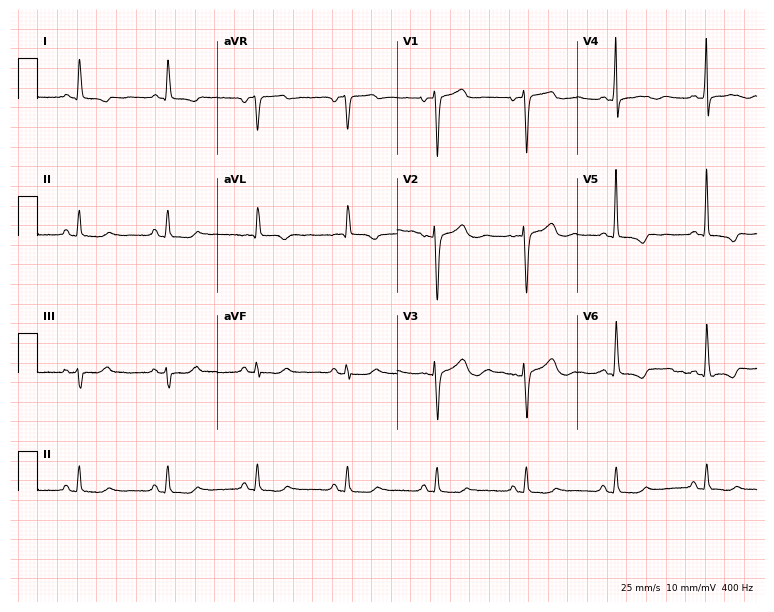
ECG (7.3-second recording at 400 Hz) — a female patient, 59 years old. Screened for six findings — first-degree AV block, right bundle branch block (RBBB), left bundle branch block (LBBB), sinus bradycardia, atrial fibrillation (AF), sinus tachycardia — none is recorded. Findings outside these six are not listed.